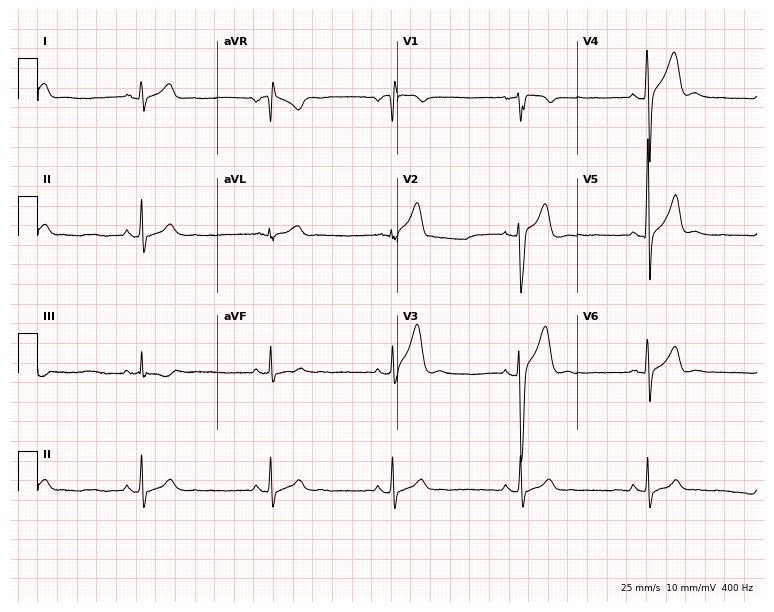
12-lead ECG from a 29-year-old female patient (7.3-second recording at 400 Hz). Shows sinus bradycardia (a sinus rate of 50 beats per minute or less).